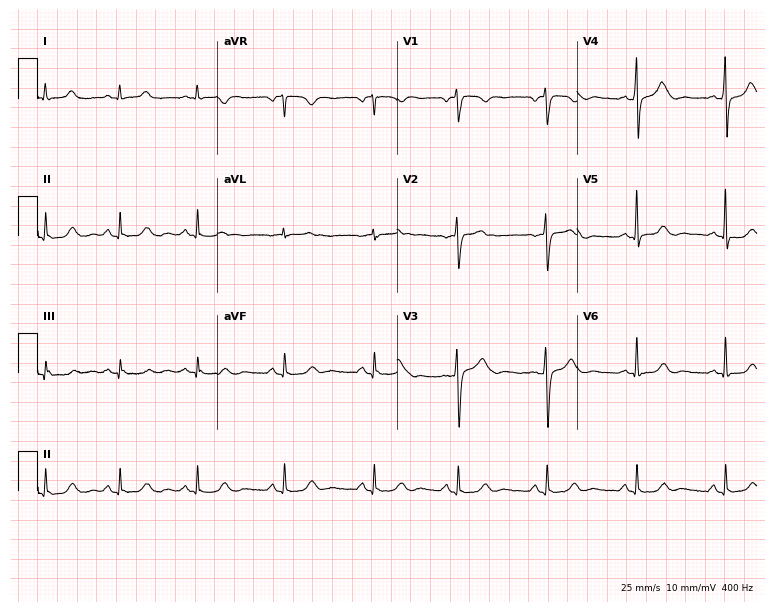
12-lead ECG from a 42-year-old man (7.3-second recording at 400 Hz). Recorded interpretation: within normal limits.